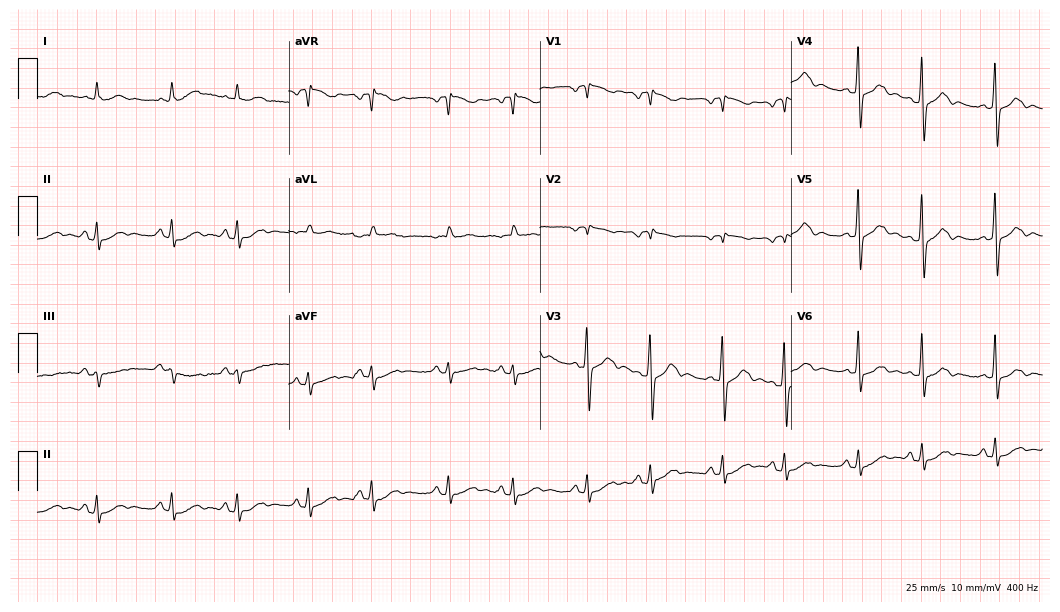
Standard 12-lead ECG recorded from a 71-year-old male. Read as a normal ECG.